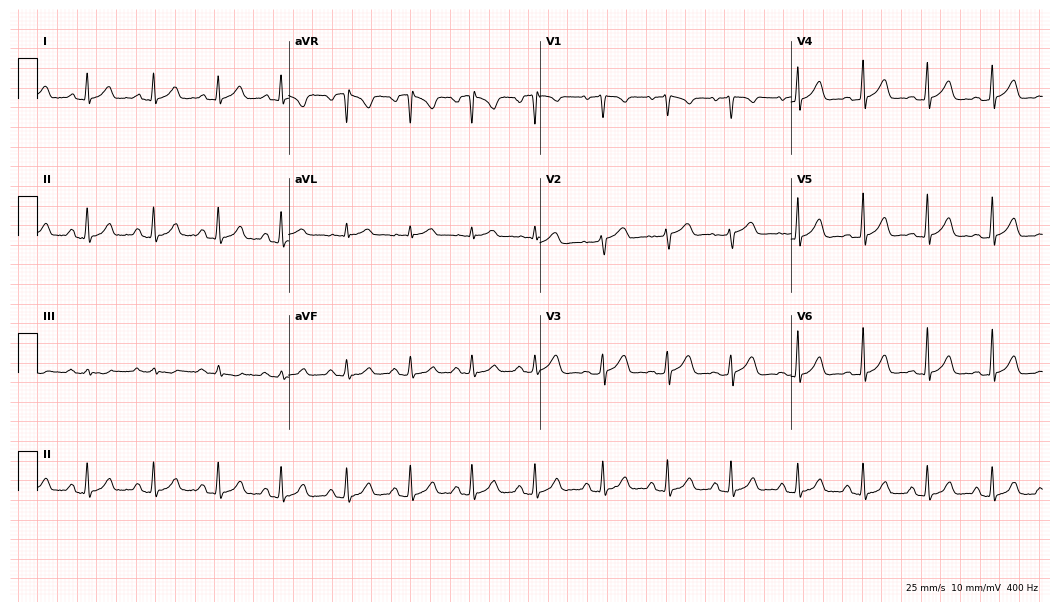
ECG (10.2-second recording at 400 Hz) — a female, 20 years old. Labelled as a normal ECG.